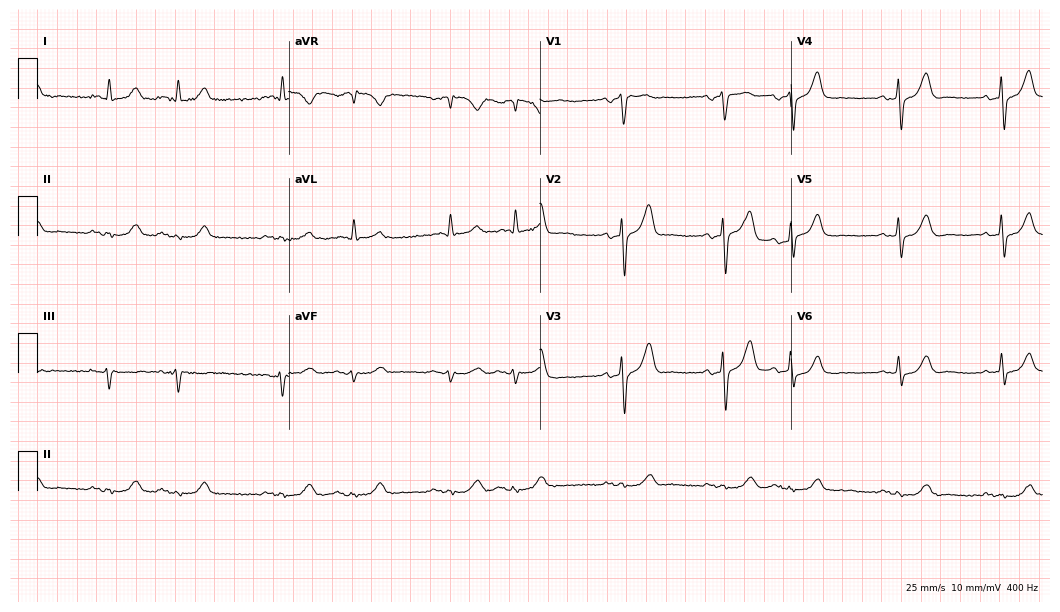
12-lead ECG (10.2-second recording at 400 Hz) from a man, 73 years old. Screened for six findings — first-degree AV block, right bundle branch block, left bundle branch block, sinus bradycardia, atrial fibrillation, sinus tachycardia — none is recorded.